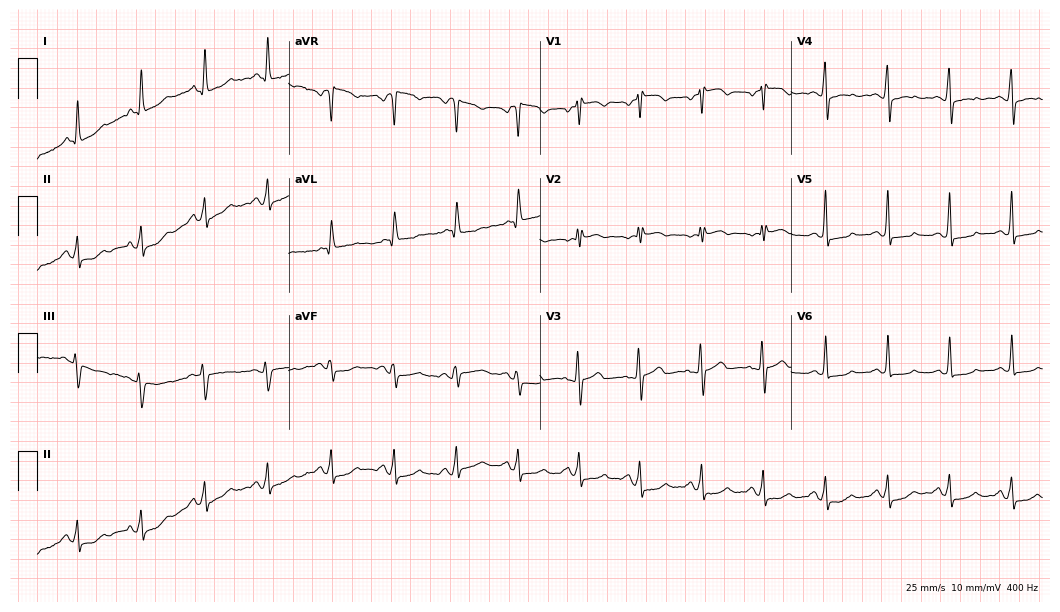
Standard 12-lead ECG recorded from a 76-year-old female. None of these six findings is recorded: first-degree AV block, right bundle branch block, left bundle branch block, sinus bradycardia, atrial fibrillation, sinus tachycardia. Findings outside these six are not listed.